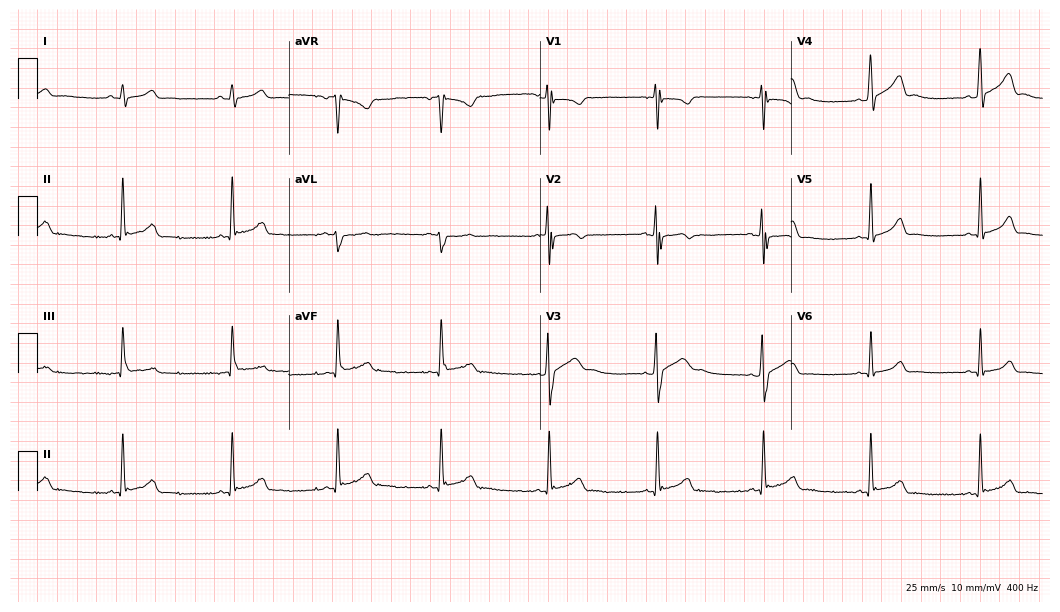
Standard 12-lead ECG recorded from a 21-year-old male. Read as a normal ECG.